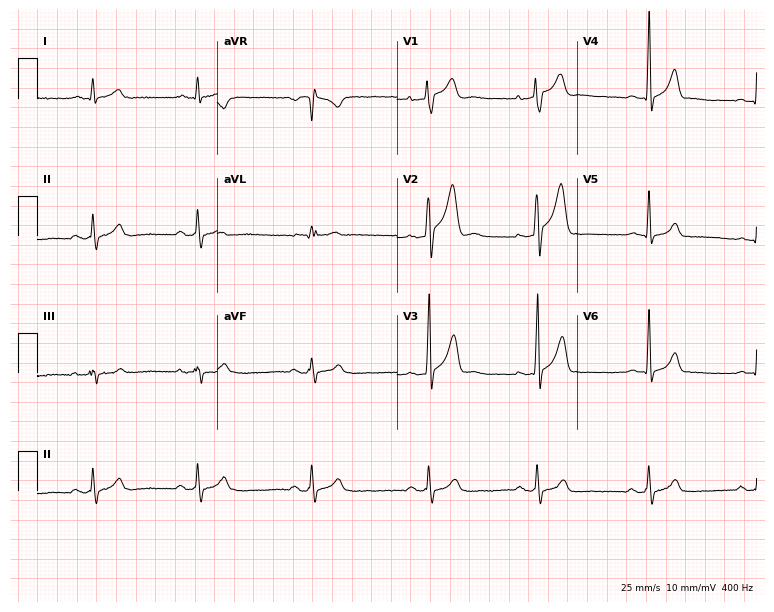
12-lead ECG (7.3-second recording at 400 Hz) from a male patient, 34 years old. Screened for six findings — first-degree AV block, right bundle branch block, left bundle branch block, sinus bradycardia, atrial fibrillation, sinus tachycardia — none is recorded.